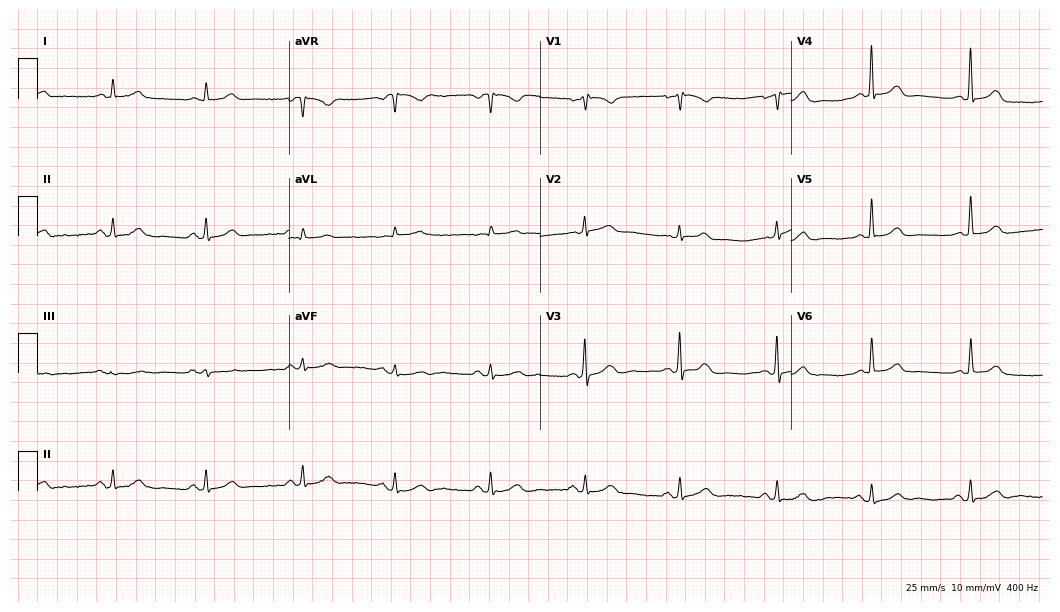
ECG (10.2-second recording at 400 Hz) — a female patient, 79 years old. Labelled as a normal ECG.